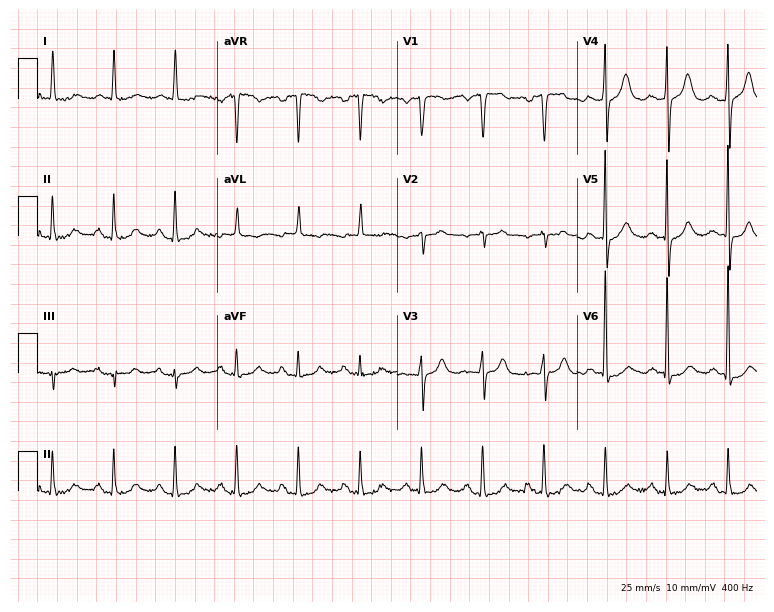
Standard 12-lead ECG recorded from a female patient, 81 years old (7.3-second recording at 400 Hz). None of these six findings is recorded: first-degree AV block, right bundle branch block (RBBB), left bundle branch block (LBBB), sinus bradycardia, atrial fibrillation (AF), sinus tachycardia. Findings outside these six are not listed.